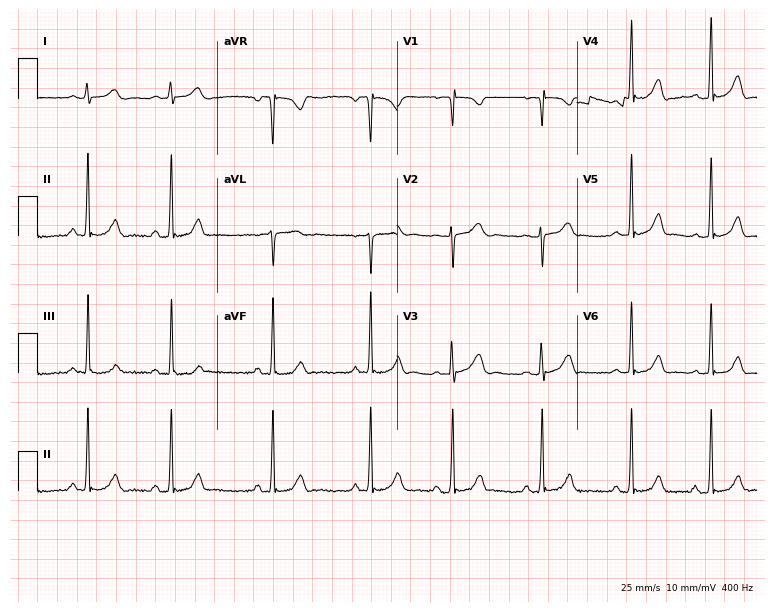
Resting 12-lead electrocardiogram (7.3-second recording at 400 Hz). Patient: a woman, 18 years old. Read as a normal ECG.